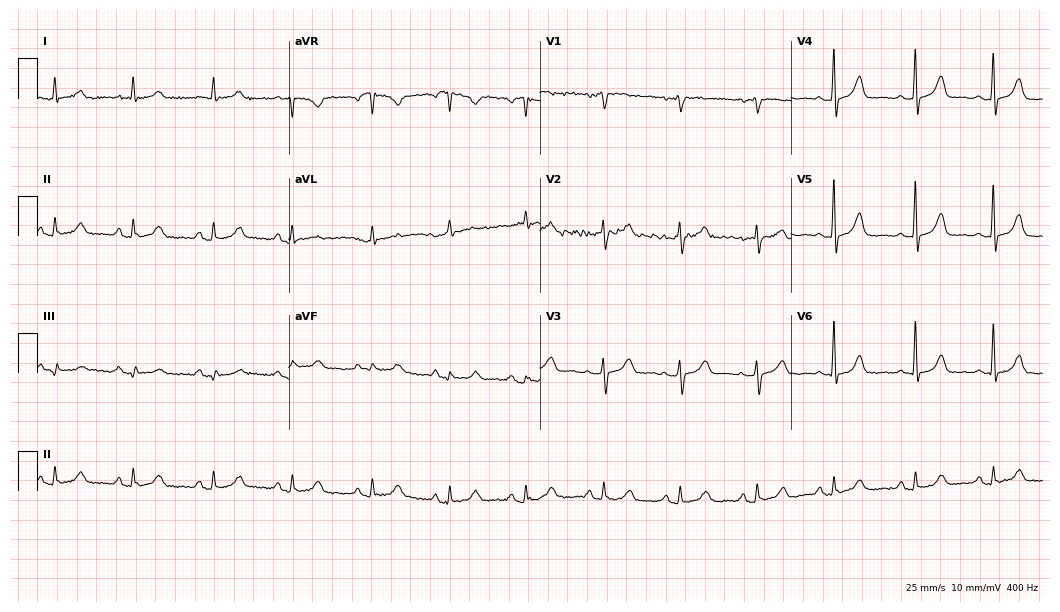
Electrocardiogram, a female, 76 years old. Overall reading on record: normal ECG.